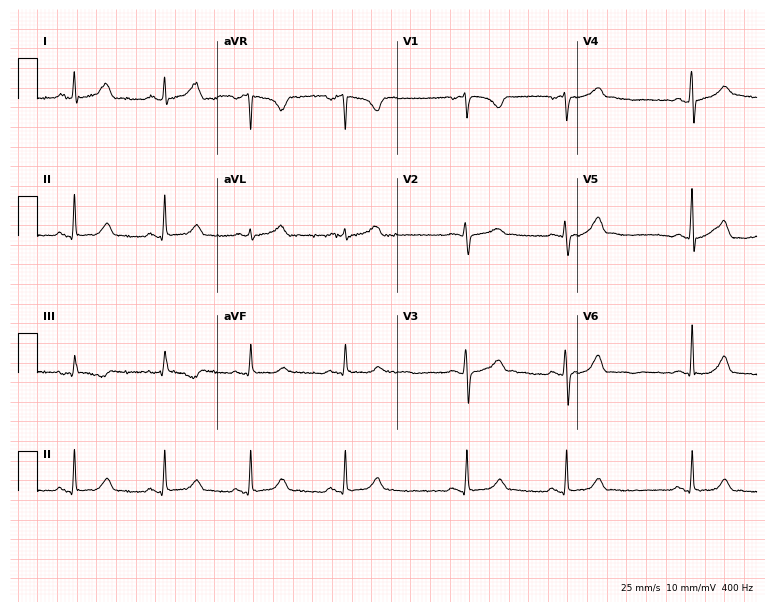
ECG (7.3-second recording at 400 Hz) — a 20-year-old female patient. Labelled as a normal ECG.